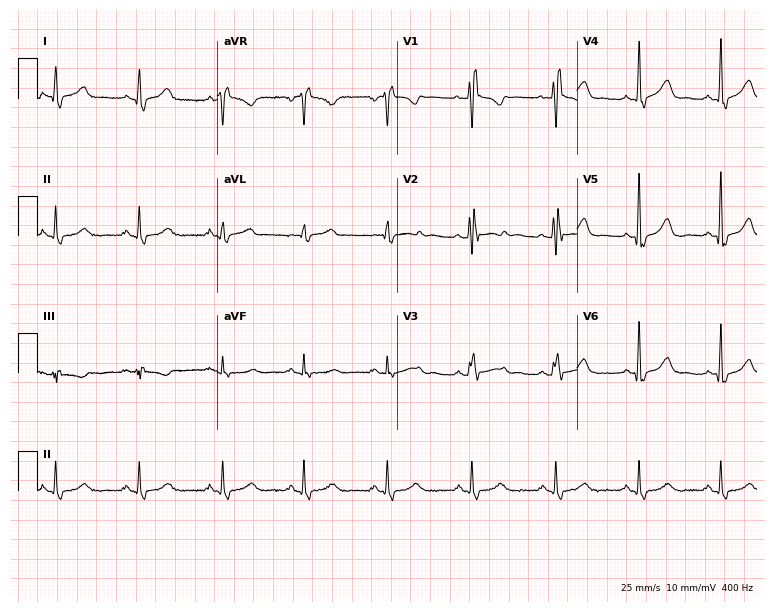
ECG (7.3-second recording at 400 Hz) — a female, 42 years old. Findings include right bundle branch block.